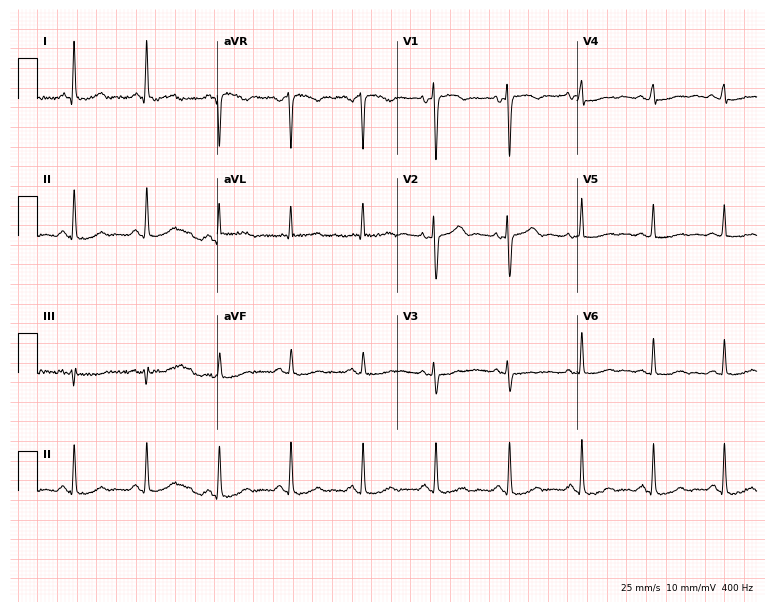
Standard 12-lead ECG recorded from a female patient, 46 years old. None of these six findings is recorded: first-degree AV block, right bundle branch block, left bundle branch block, sinus bradycardia, atrial fibrillation, sinus tachycardia. Other findings, if any, are not listed.